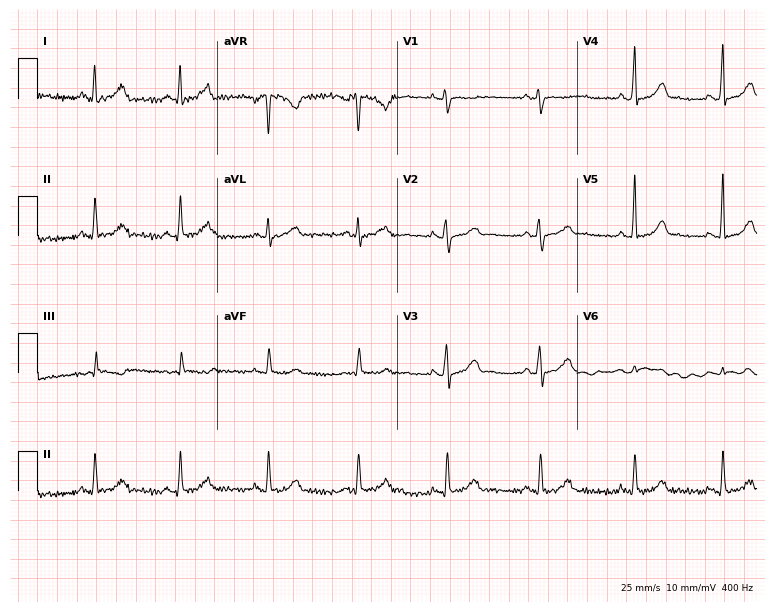
ECG (7.3-second recording at 400 Hz) — a 41-year-old female. Labelled as a normal ECG.